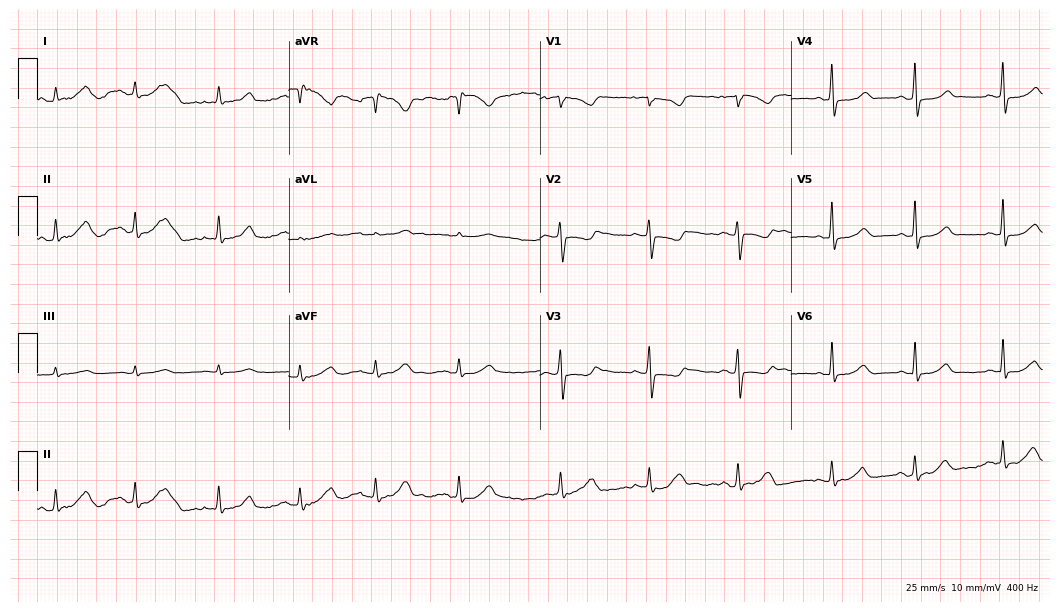
Resting 12-lead electrocardiogram. Patient: a 29-year-old woman. None of these six findings is recorded: first-degree AV block, right bundle branch block (RBBB), left bundle branch block (LBBB), sinus bradycardia, atrial fibrillation (AF), sinus tachycardia. Only these six findings were labelled.